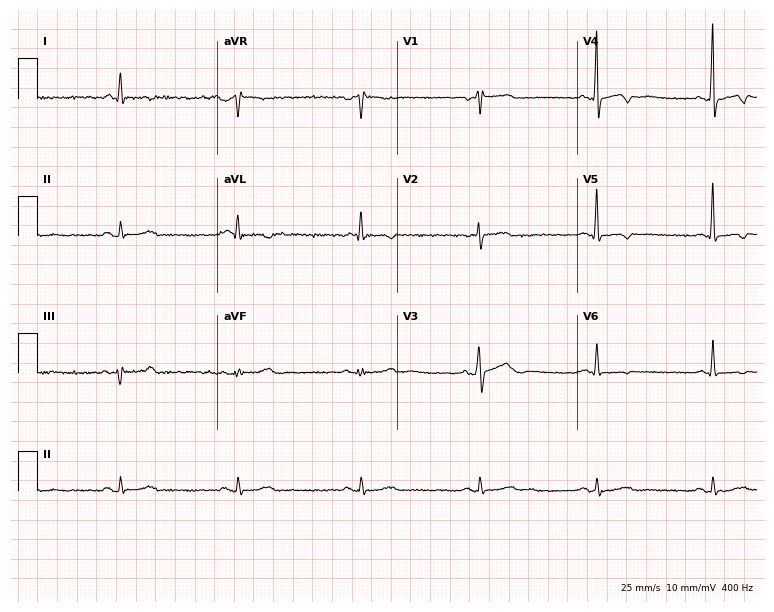
Resting 12-lead electrocardiogram. Patient: a 68-year-old male. None of these six findings is recorded: first-degree AV block, right bundle branch block, left bundle branch block, sinus bradycardia, atrial fibrillation, sinus tachycardia. Only these six findings were labelled.